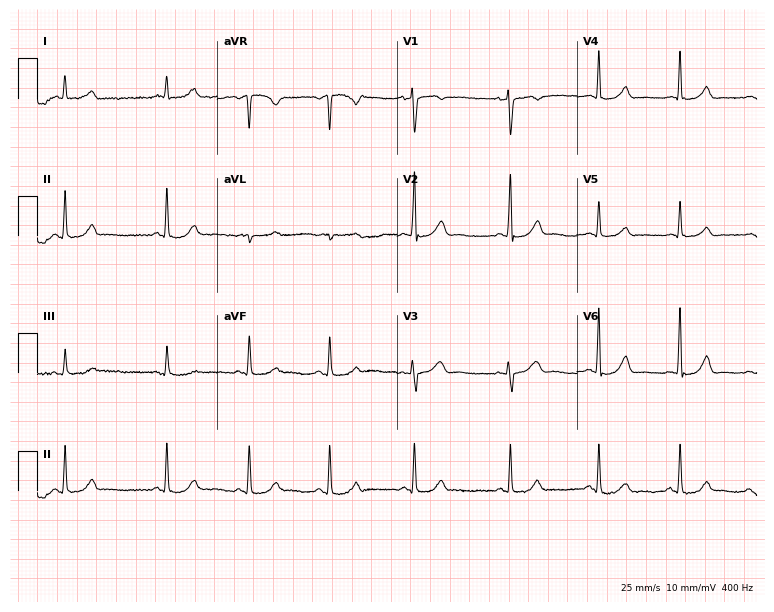
Resting 12-lead electrocardiogram (7.3-second recording at 400 Hz). Patient: a 43-year-old female. Read as a normal ECG.